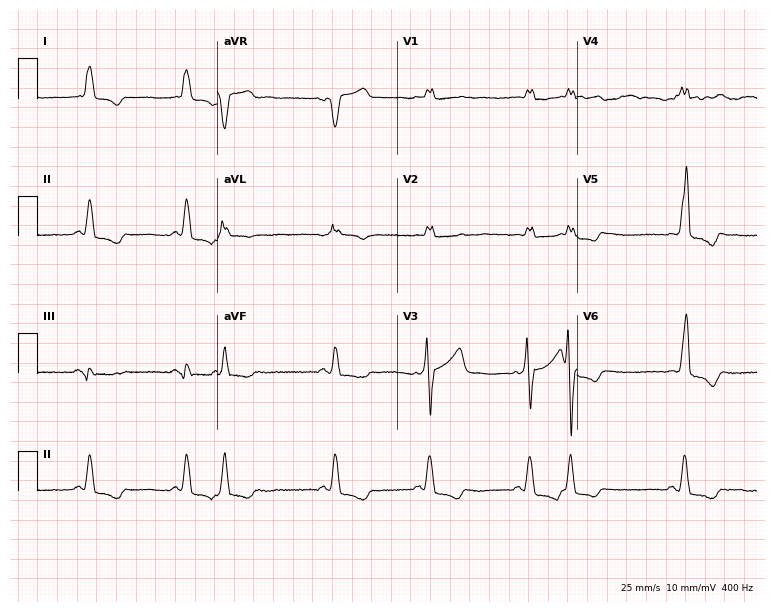
Standard 12-lead ECG recorded from a 65-year-old male. None of these six findings is recorded: first-degree AV block, right bundle branch block, left bundle branch block, sinus bradycardia, atrial fibrillation, sinus tachycardia. Findings outside these six are not listed.